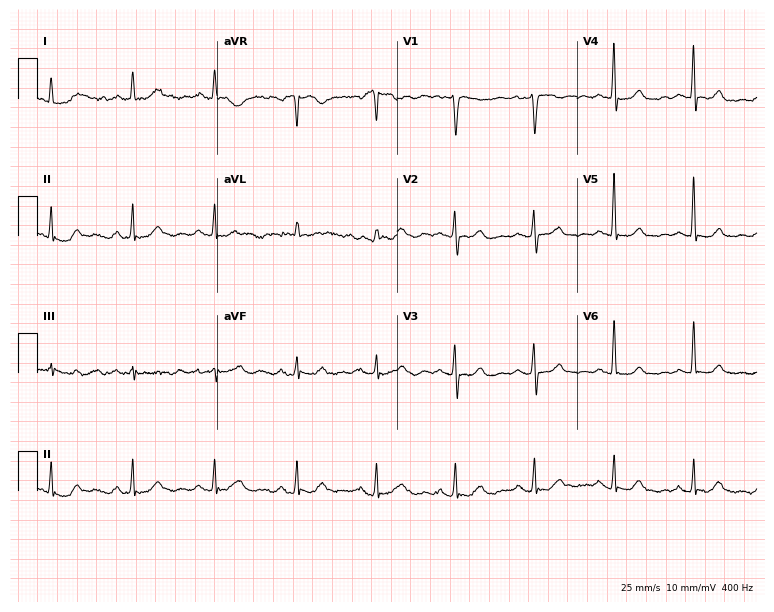
12-lead ECG from a woman, 67 years old (7.3-second recording at 400 Hz). Recorded interpretation: within normal limits.